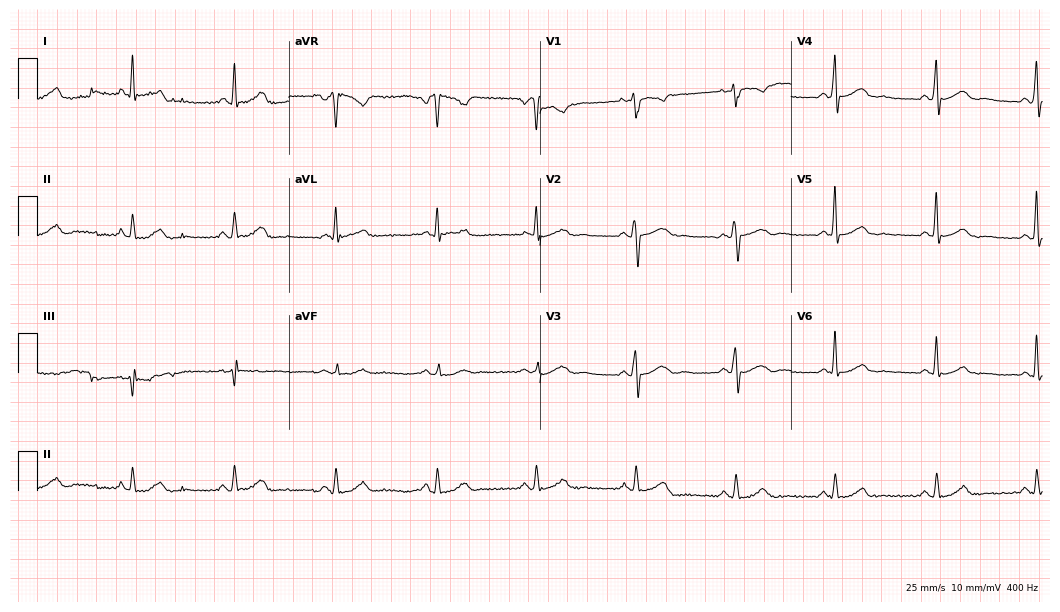
Standard 12-lead ECG recorded from a male patient, 58 years old. None of these six findings is recorded: first-degree AV block, right bundle branch block, left bundle branch block, sinus bradycardia, atrial fibrillation, sinus tachycardia. Findings outside these six are not listed.